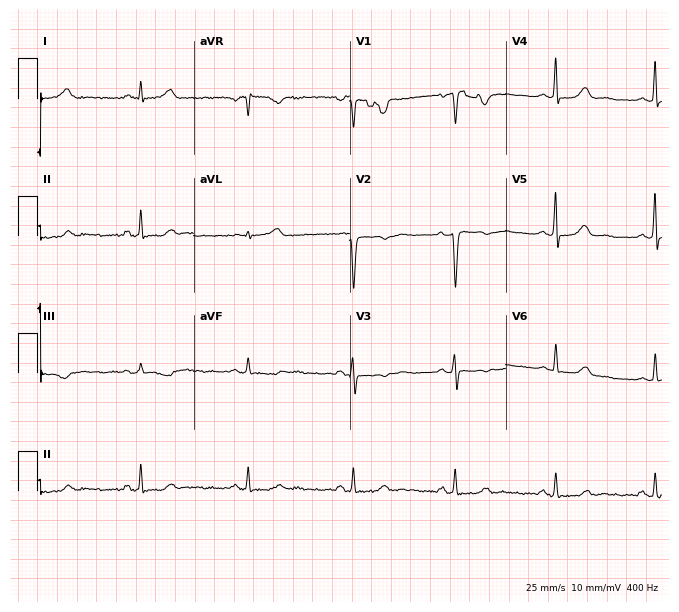
12-lead ECG from a 43-year-old woman (6.4-second recording at 400 Hz). No first-degree AV block, right bundle branch block, left bundle branch block, sinus bradycardia, atrial fibrillation or sinus tachycardia recorded for this tracing.